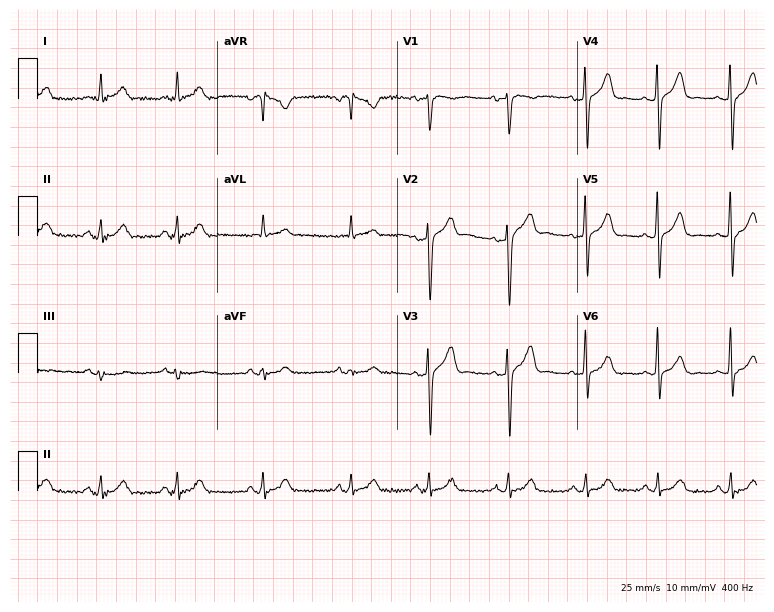
Resting 12-lead electrocardiogram. Patient: a 56-year-old man. Read as a normal ECG.